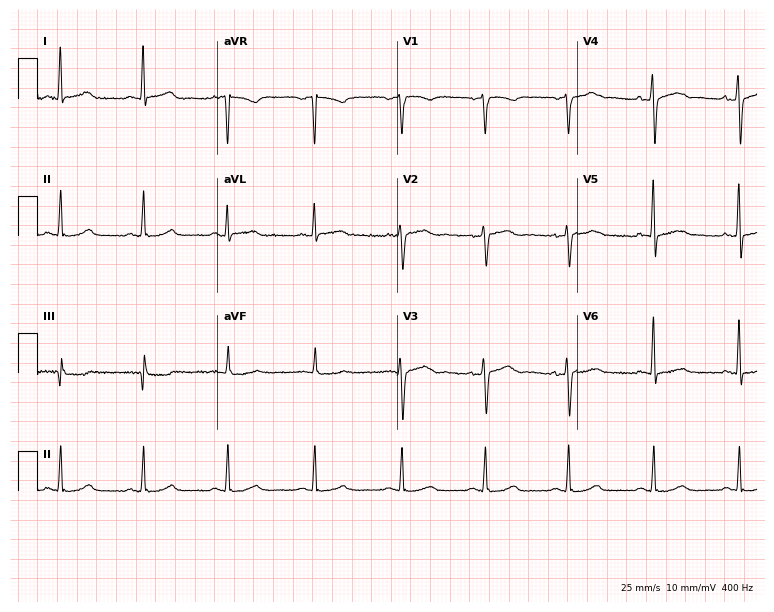
Resting 12-lead electrocardiogram. Patient: a female, 48 years old. None of these six findings is recorded: first-degree AV block, right bundle branch block, left bundle branch block, sinus bradycardia, atrial fibrillation, sinus tachycardia. Only these six findings were labelled.